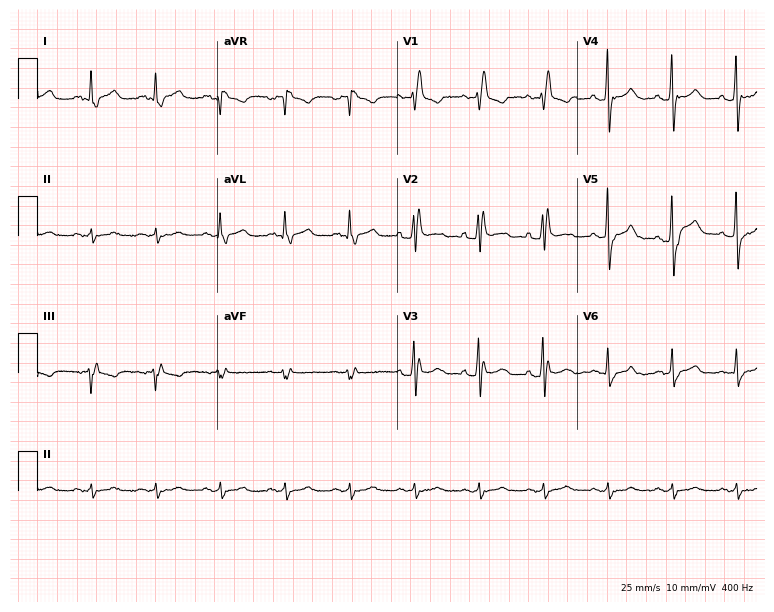
12-lead ECG from a male, 62 years old (7.3-second recording at 400 Hz). Shows right bundle branch block.